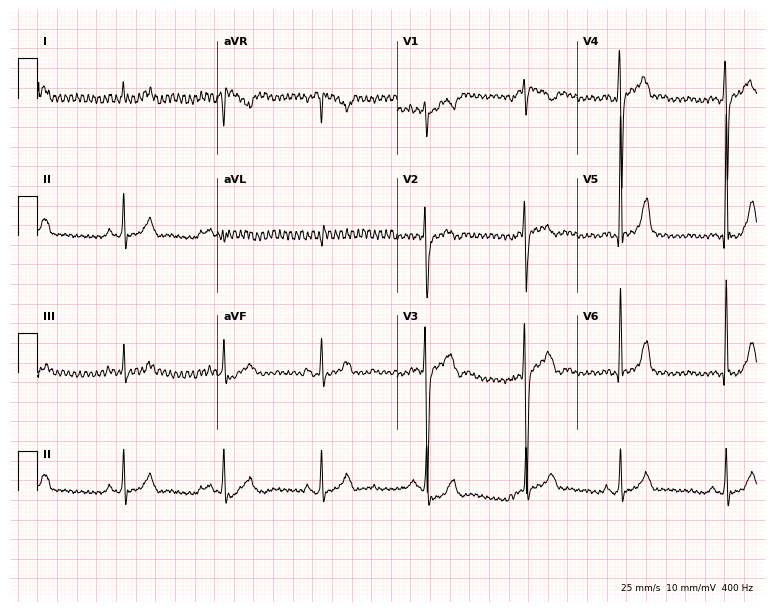
ECG (7.3-second recording at 400 Hz) — a 17-year-old male. Screened for six findings — first-degree AV block, right bundle branch block (RBBB), left bundle branch block (LBBB), sinus bradycardia, atrial fibrillation (AF), sinus tachycardia — none is recorded.